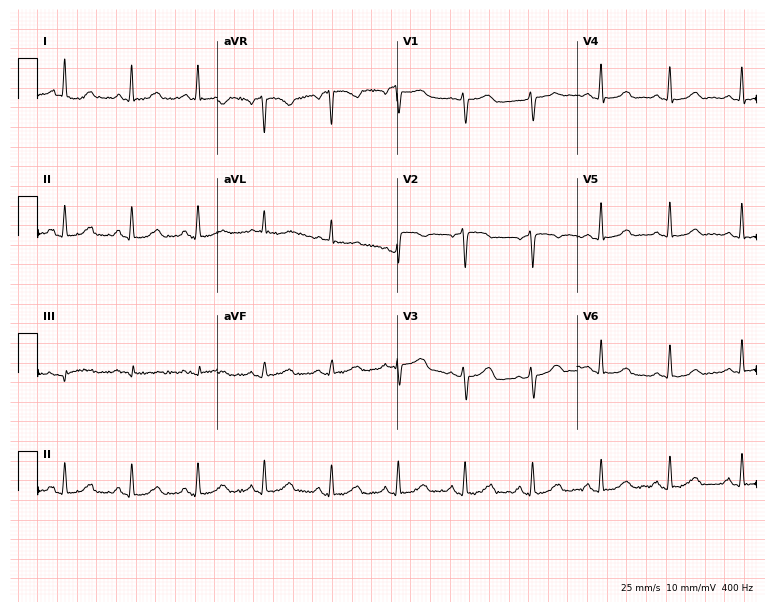
Resting 12-lead electrocardiogram (7.3-second recording at 400 Hz). Patient: a female, 53 years old. None of these six findings is recorded: first-degree AV block, right bundle branch block, left bundle branch block, sinus bradycardia, atrial fibrillation, sinus tachycardia. Findings outside these six are not listed.